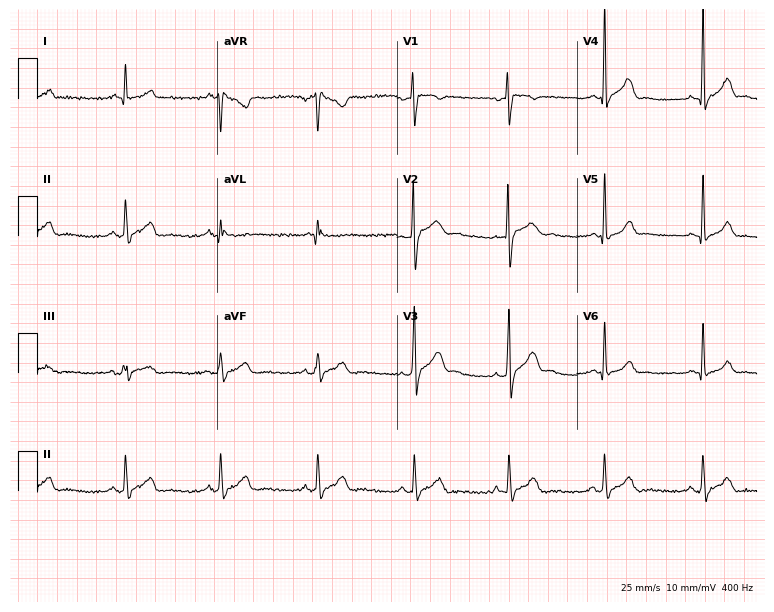
Resting 12-lead electrocardiogram. Patient: a male, 32 years old. Read as a normal ECG.